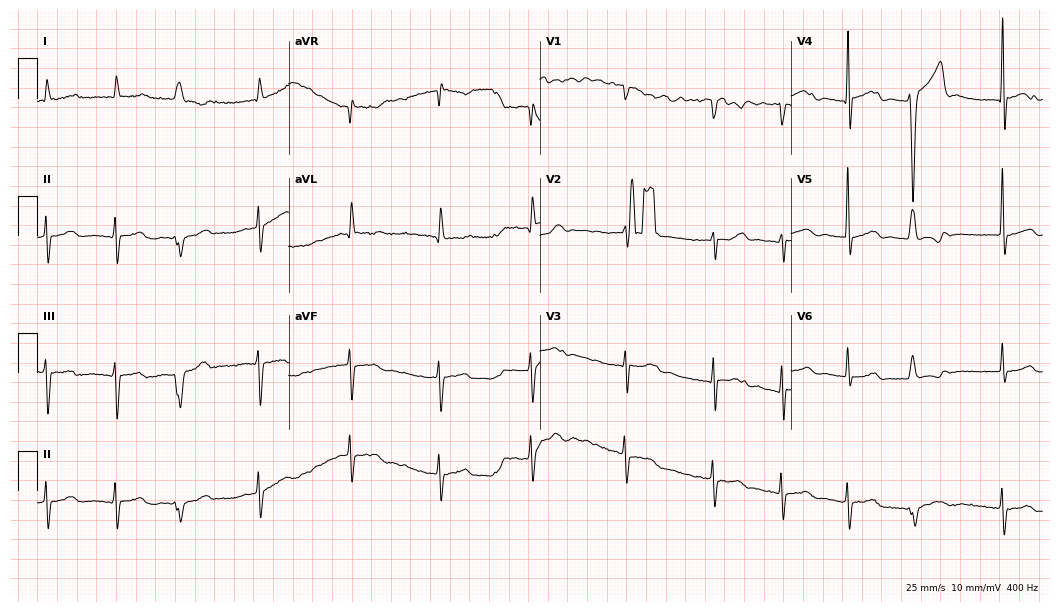
Electrocardiogram (10.2-second recording at 400 Hz), a female patient, 83 years old. Interpretation includes atrial fibrillation.